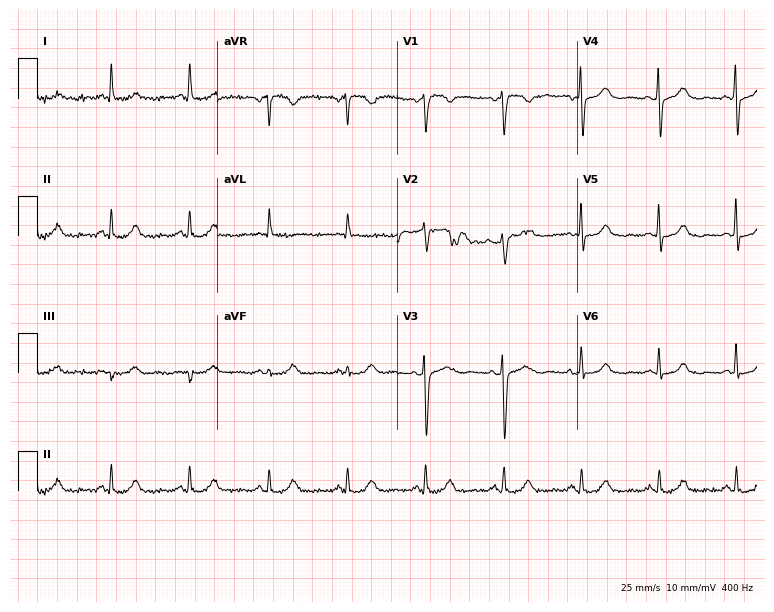
ECG — a female patient, 53 years old. Screened for six findings — first-degree AV block, right bundle branch block, left bundle branch block, sinus bradycardia, atrial fibrillation, sinus tachycardia — none is recorded. Findings outside these six are not listed.